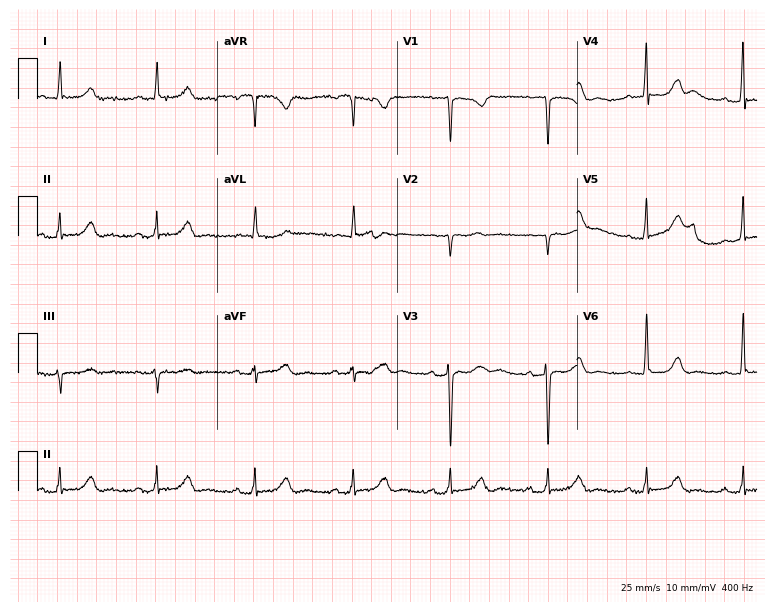
12-lead ECG from a 74-year-old female patient (7.3-second recording at 400 Hz). Recorded interpretation: within normal limits.